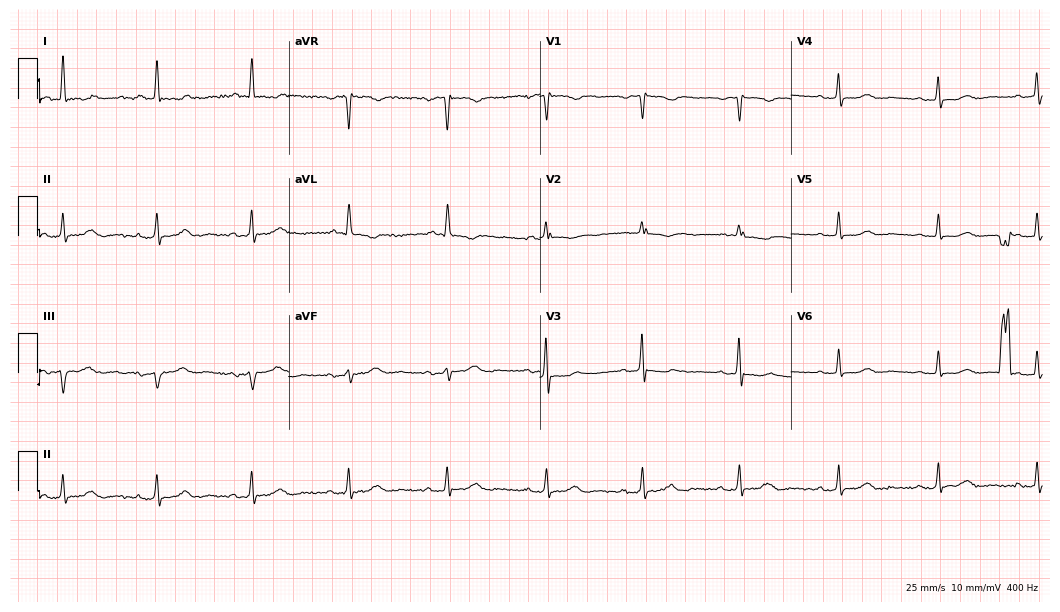
ECG (10.2-second recording at 400 Hz) — a 68-year-old female patient. Labelled as a normal ECG.